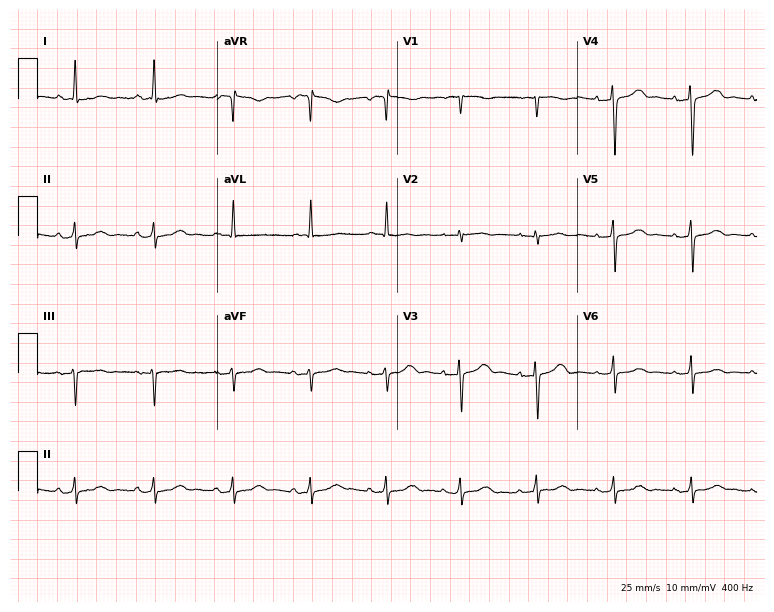
12-lead ECG (7.3-second recording at 400 Hz) from a female patient, 56 years old. Screened for six findings — first-degree AV block, right bundle branch block, left bundle branch block, sinus bradycardia, atrial fibrillation, sinus tachycardia — none is recorded.